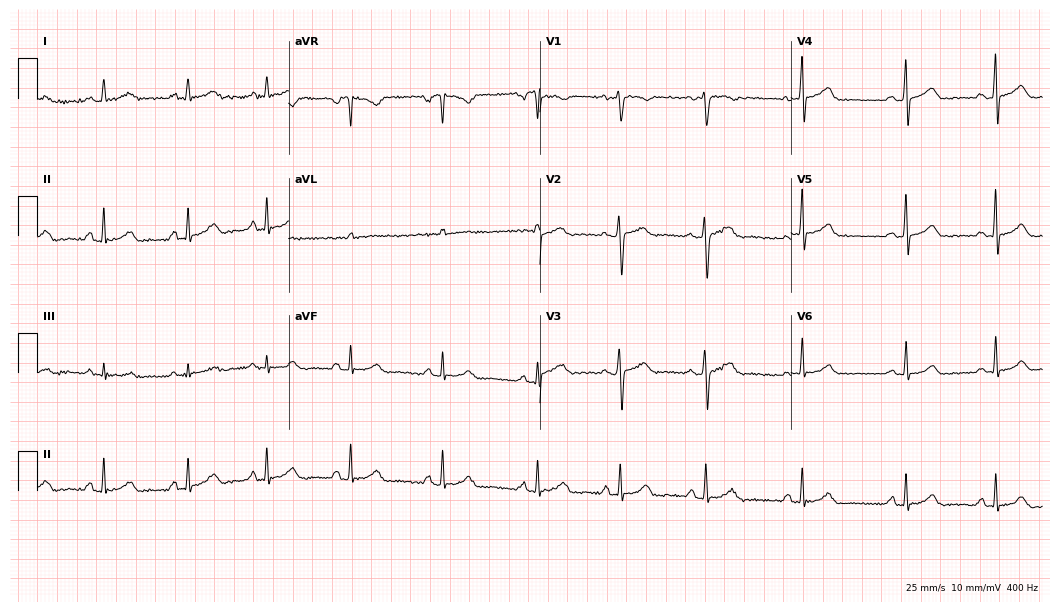
Electrocardiogram (10.2-second recording at 400 Hz), a female, 33 years old. Of the six screened findings (first-degree AV block, right bundle branch block (RBBB), left bundle branch block (LBBB), sinus bradycardia, atrial fibrillation (AF), sinus tachycardia), none is recorded. Only these six findings were labelled.